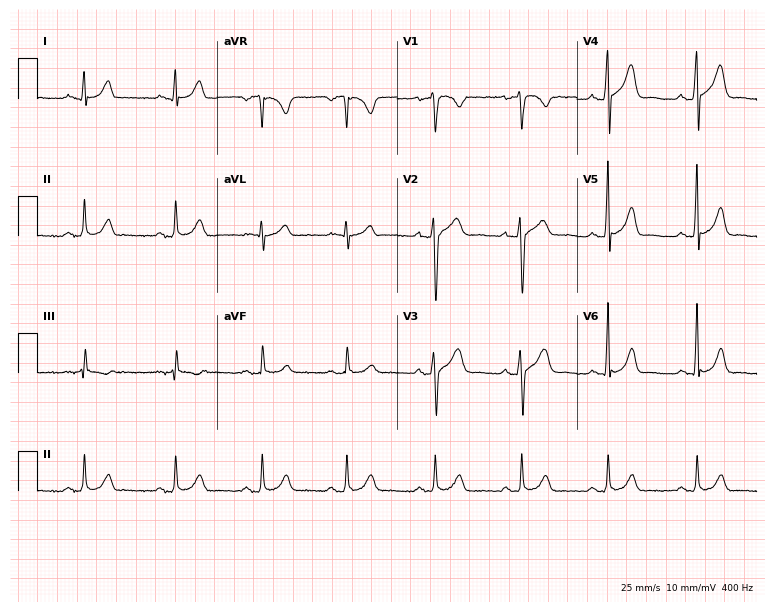
ECG (7.3-second recording at 400 Hz) — a male patient, 41 years old. Labelled as a normal ECG.